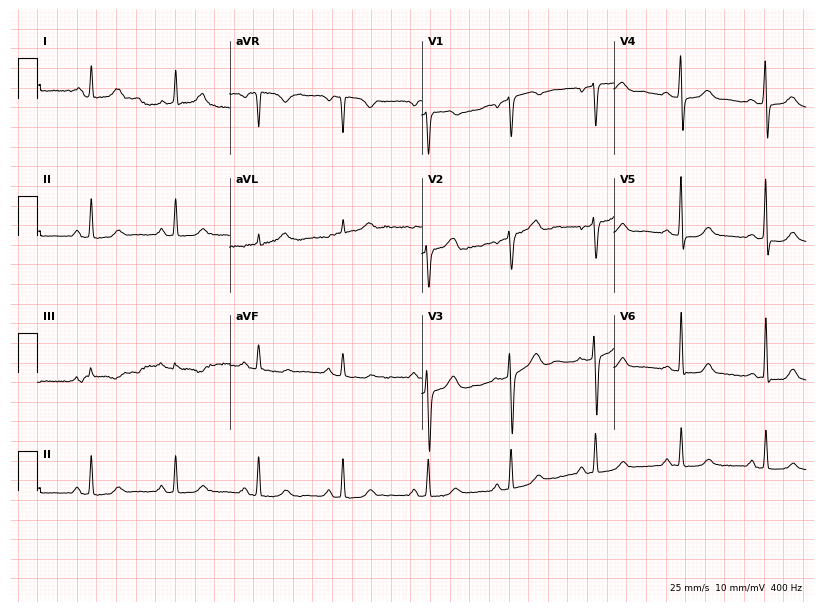
12-lead ECG from a female, 55 years old. Recorded interpretation: within normal limits.